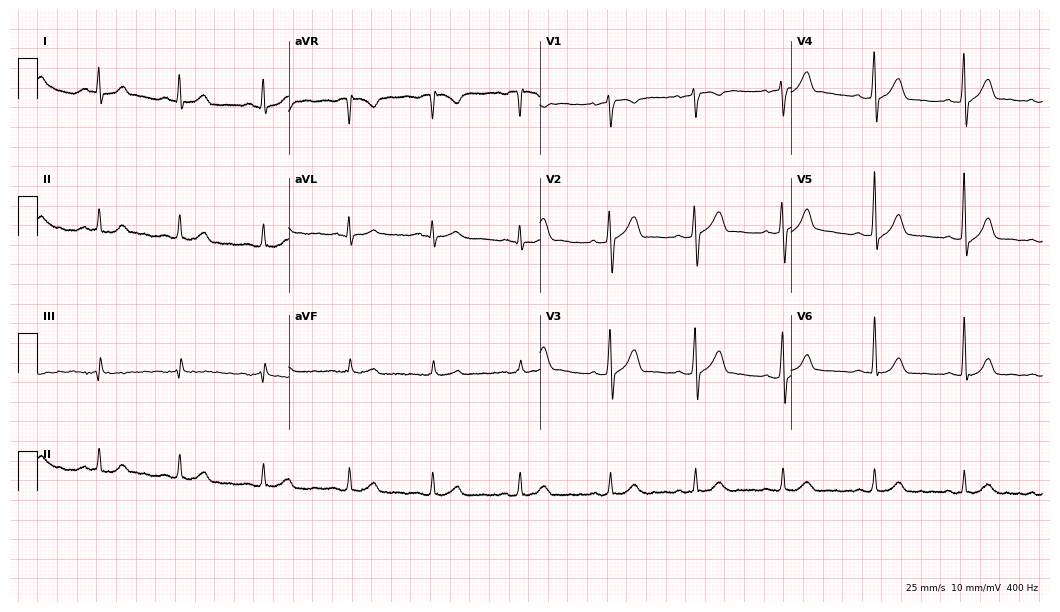
12-lead ECG from a 35-year-old male patient (10.2-second recording at 400 Hz). Recorded interpretation: within normal limits.